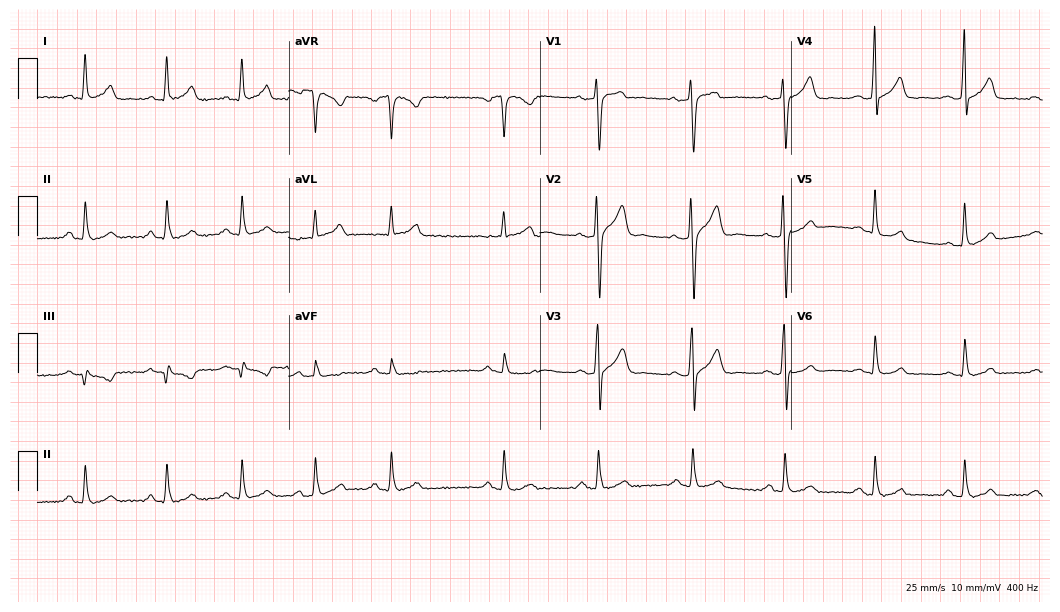
12-lead ECG from a male patient, 49 years old. Recorded interpretation: within normal limits.